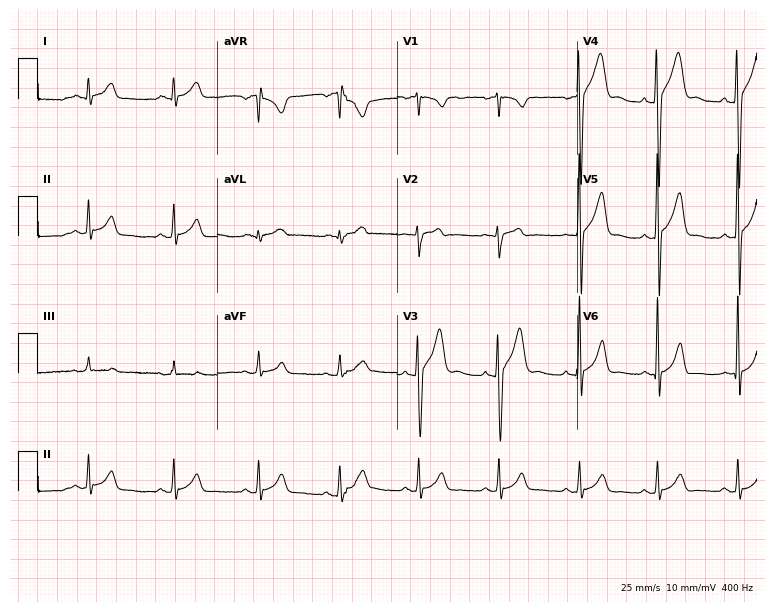
12-lead ECG from a male patient, 23 years old. Recorded interpretation: within normal limits.